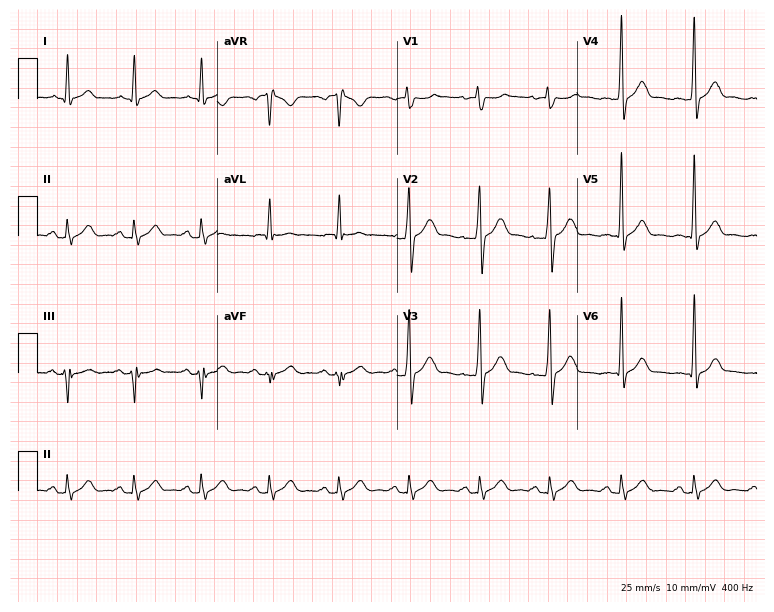
12-lead ECG from a male patient, 30 years old. Labelled as a normal ECG.